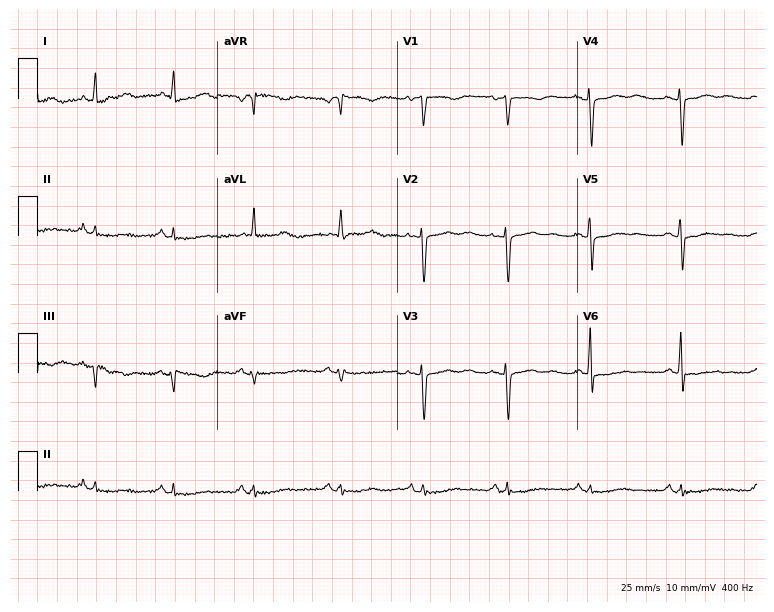
12-lead ECG (7.3-second recording at 400 Hz) from a woman, 70 years old. Screened for six findings — first-degree AV block, right bundle branch block, left bundle branch block, sinus bradycardia, atrial fibrillation, sinus tachycardia — none is recorded. Findings outside these six are not listed.